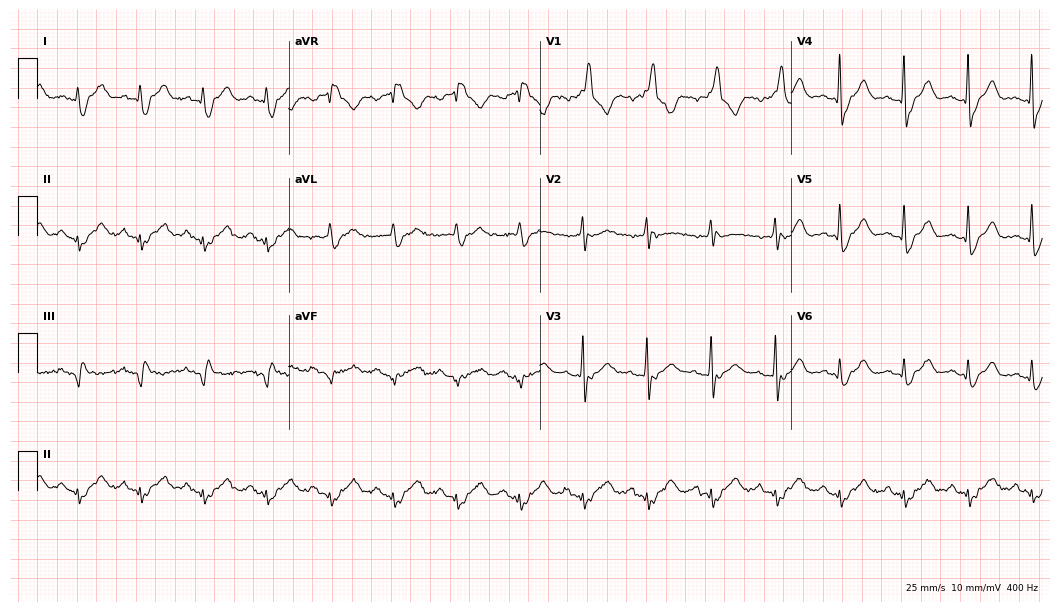
Standard 12-lead ECG recorded from a 73-year-old male patient (10.2-second recording at 400 Hz). The tracing shows right bundle branch block (RBBB).